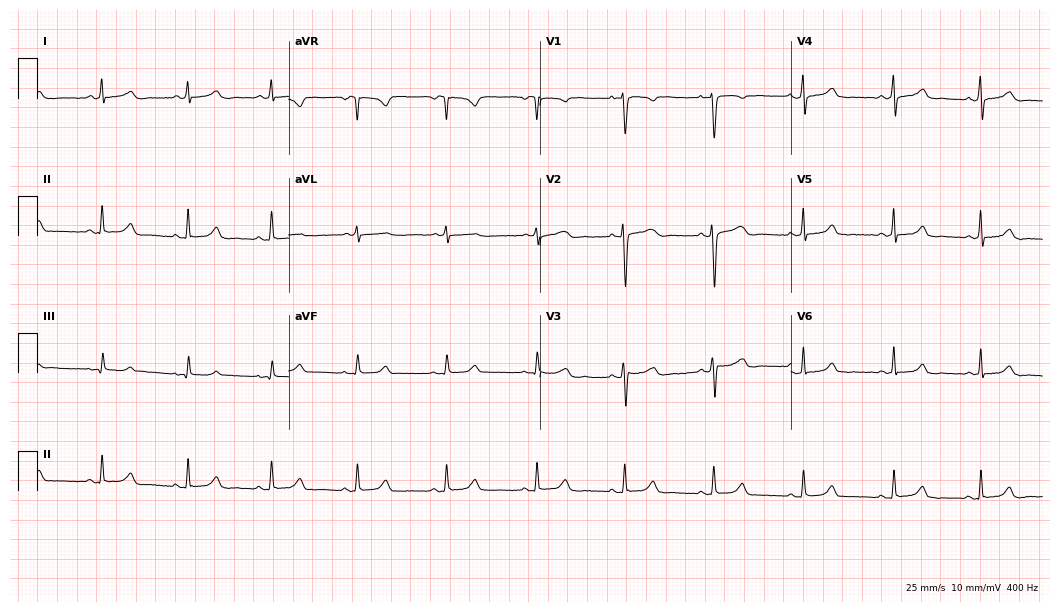
12-lead ECG (10.2-second recording at 400 Hz) from a 34-year-old male patient. Labelled as a normal ECG.